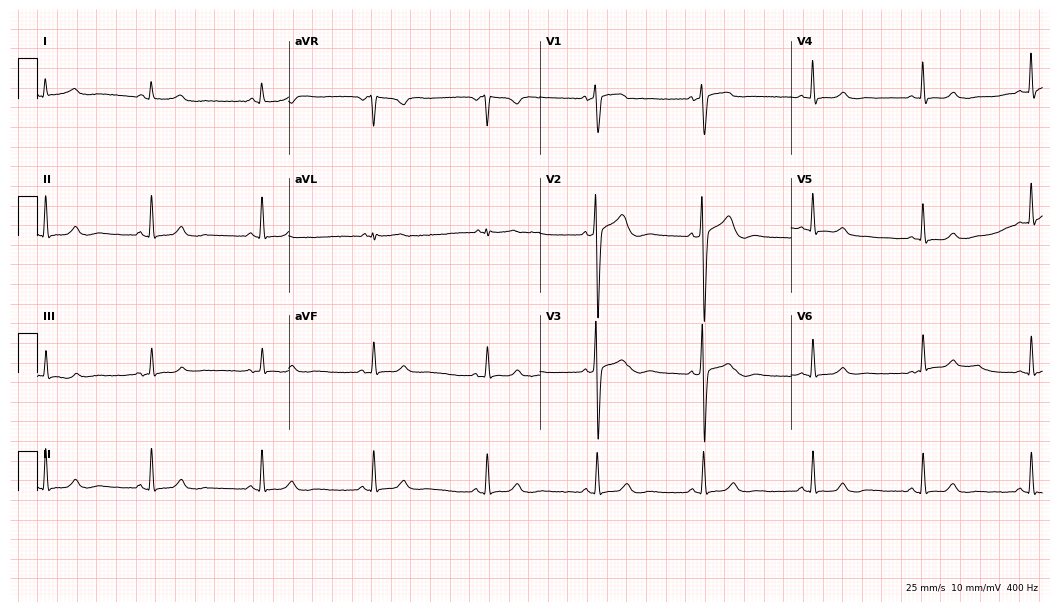
ECG — a 60-year-old woman. Labelled as a normal ECG.